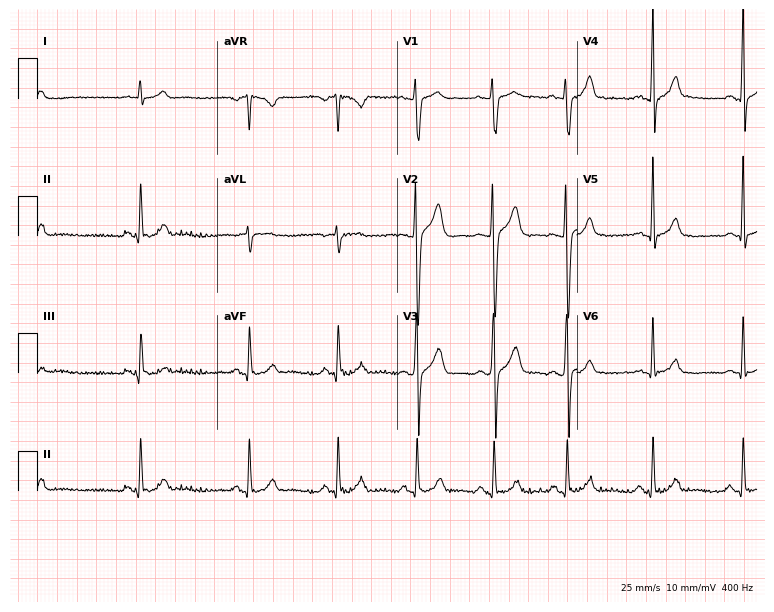
Electrocardiogram (7.3-second recording at 400 Hz), a 24-year-old male patient. Of the six screened findings (first-degree AV block, right bundle branch block, left bundle branch block, sinus bradycardia, atrial fibrillation, sinus tachycardia), none is recorded. Findings outside these six are not listed.